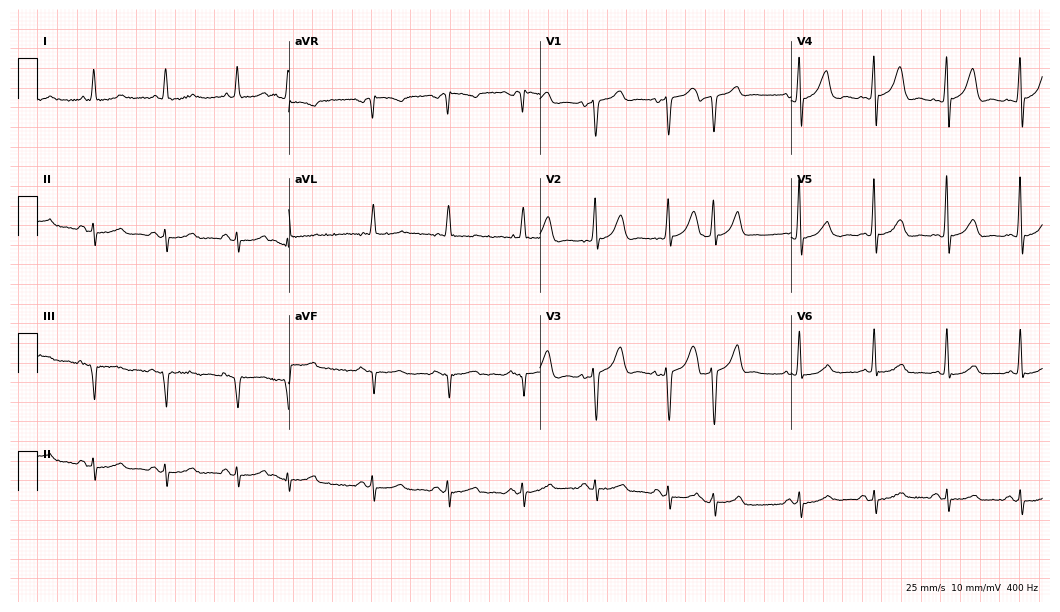
12-lead ECG (10.2-second recording at 400 Hz) from a woman, 78 years old. Screened for six findings — first-degree AV block, right bundle branch block, left bundle branch block, sinus bradycardia, atrial fibrillation, sinus tachycardia — none is recorded. Findings outside these six are not listed.